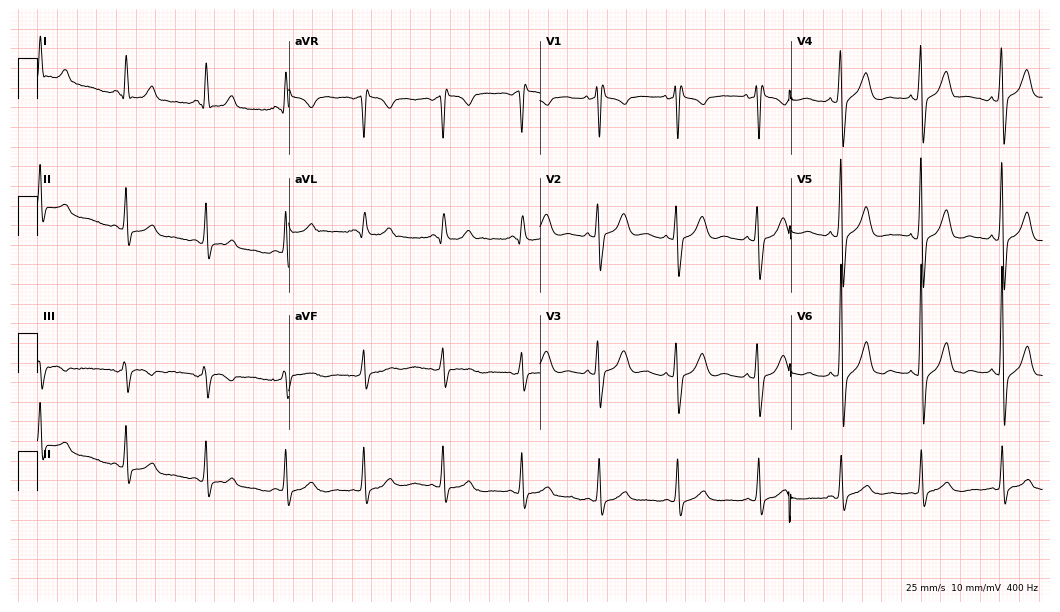
12-lead ECG from a male, 49 years old. Screened for six findings — first-degree AV block, right bundle branch block (RBBB), left bundle branch block (LBBB), sinus bradycardia, atrial fibrillation (AF), sinus tachycardia — none is recorded.